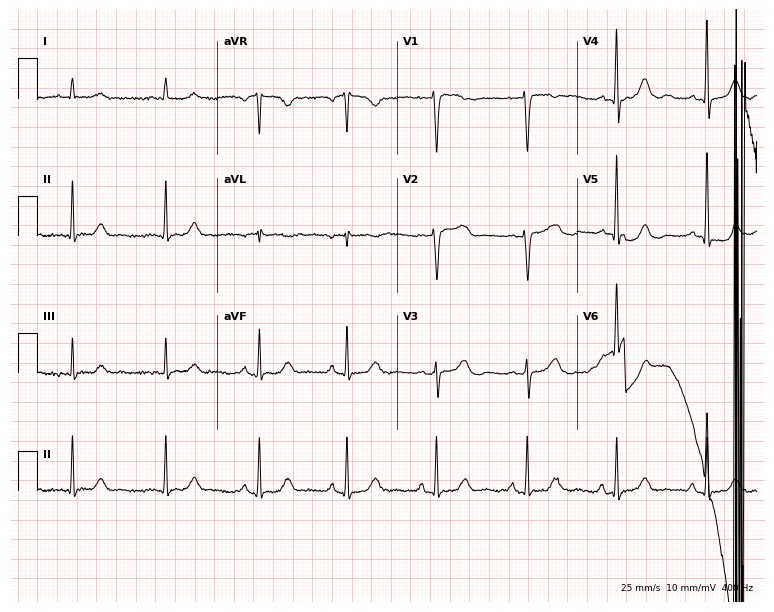
Electrocardiogram (7.3-second recording at 400 Hz), a 72-year-old female. Of the six screened findings (first-degree AV block, right bundle branch block, left bundle branch block, sinus bradycardia, atrial fibrillation, sinus tachycardia), none is recorded. Other findings, if any, are not listed.